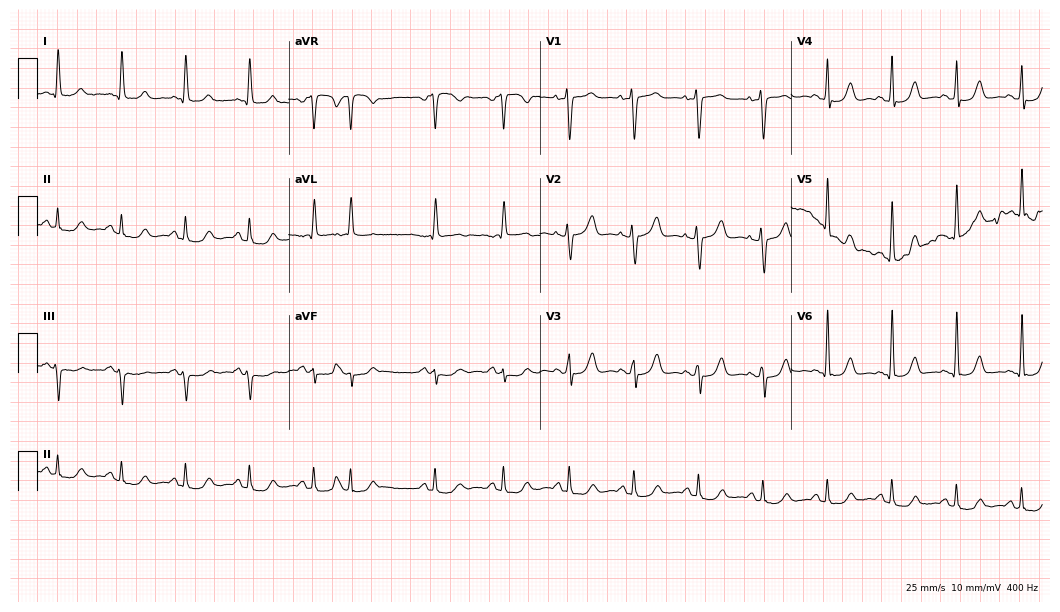
12-lead ECG from a female, 76 years old. Labelled as a normal ECG.